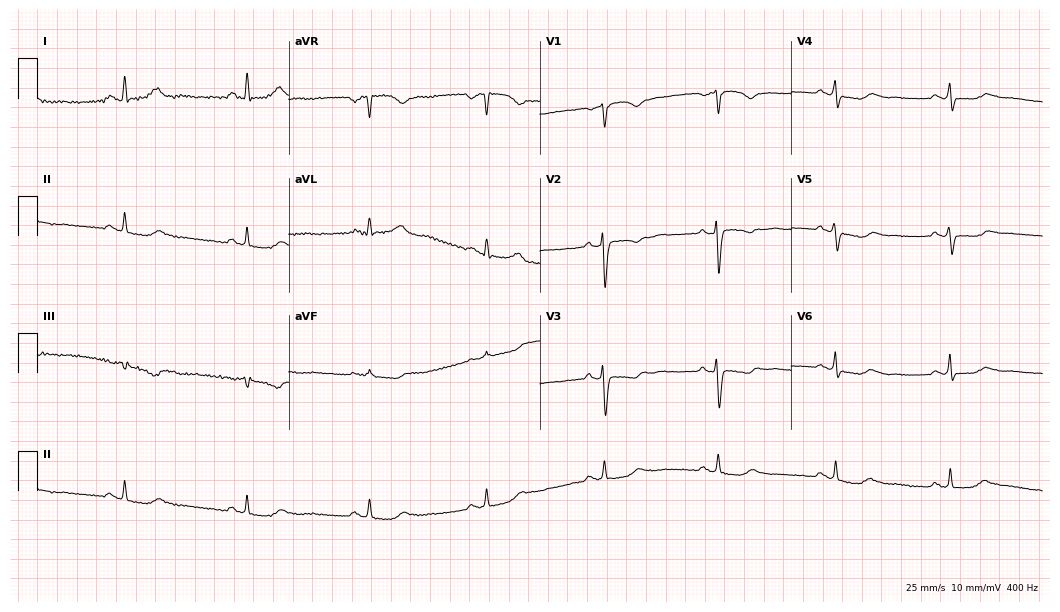
Standard 12-lead ECG recorded from a 70-year-old woman (10.2-second recording at 400 Hz). None of these six findings is recorded: first-degree AV block, right bundle branch block, left bundle branch block, sinus bradycardia, atrial fibrillation, sinus tachycardia.